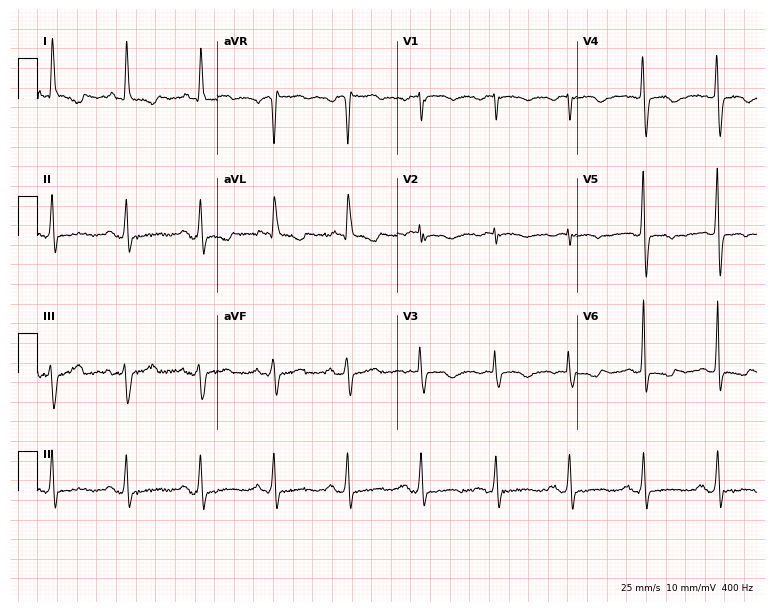
12-lead ECG from a woman, 66 years old. Screened for six findings — first-degree AV block, right bundle branch block, left bundle branch block, sinus bradycardia, atrial fibrillation, sinus tachycardia — none is recorded.